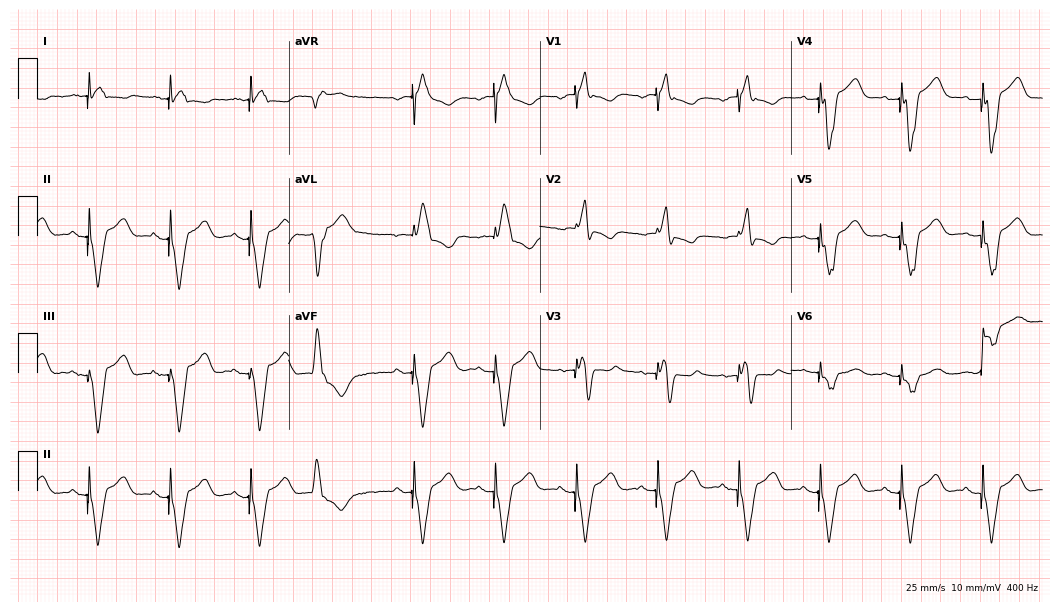
Standard 12-lead ECG recorded from a 46-year-old male. None of these six findings is recorded: first-degree AV block, right bundle branch block, left bundle branch block, sinus bradycardia, atrial fibrillation, sinus tachycardia. Findings outside these six are not listed.